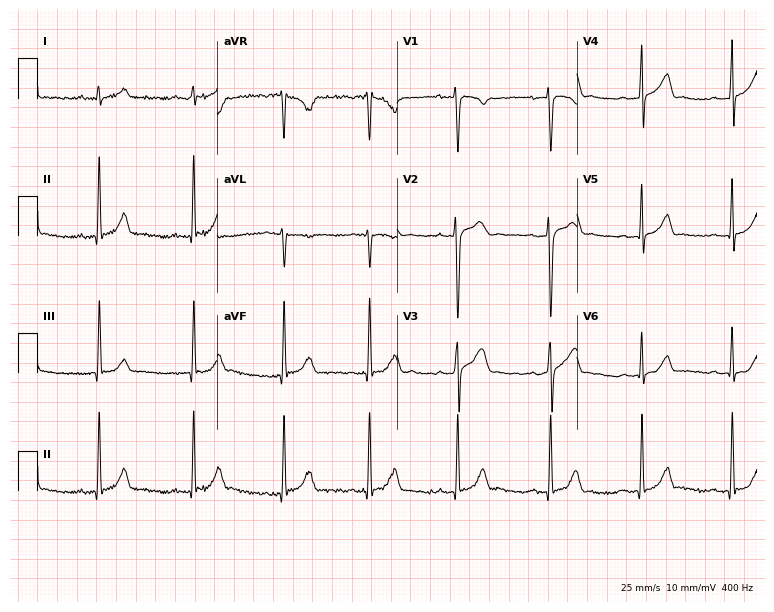
Resting 12-lead electrocardiogram. Patient: a male, 17 years old. None of these six findings is recorded: first-degree AV block, right bundle branch block, left bundle branch block, sinus bradycardia, atrial fibrillation, sinus tachycardia. Findings outside these six are not listed.